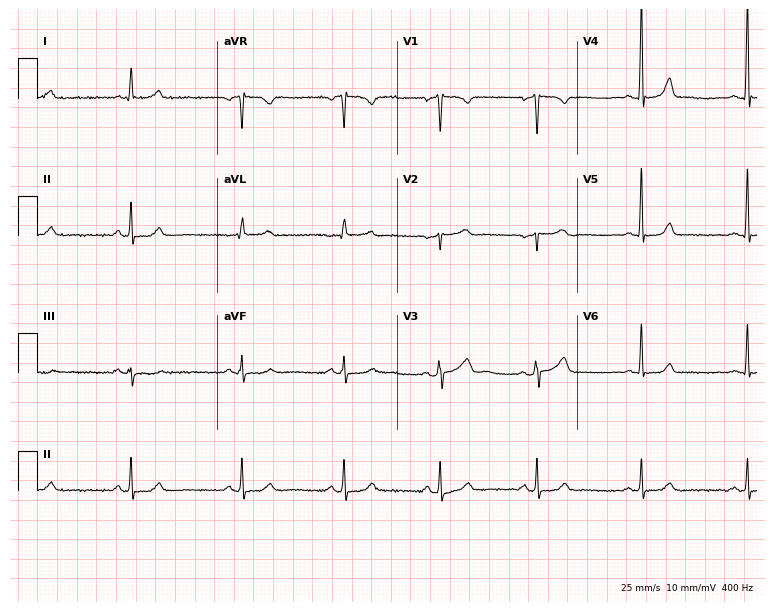
12-lead ECG from a 42-year-old woman. Labelled as a normal ECG.